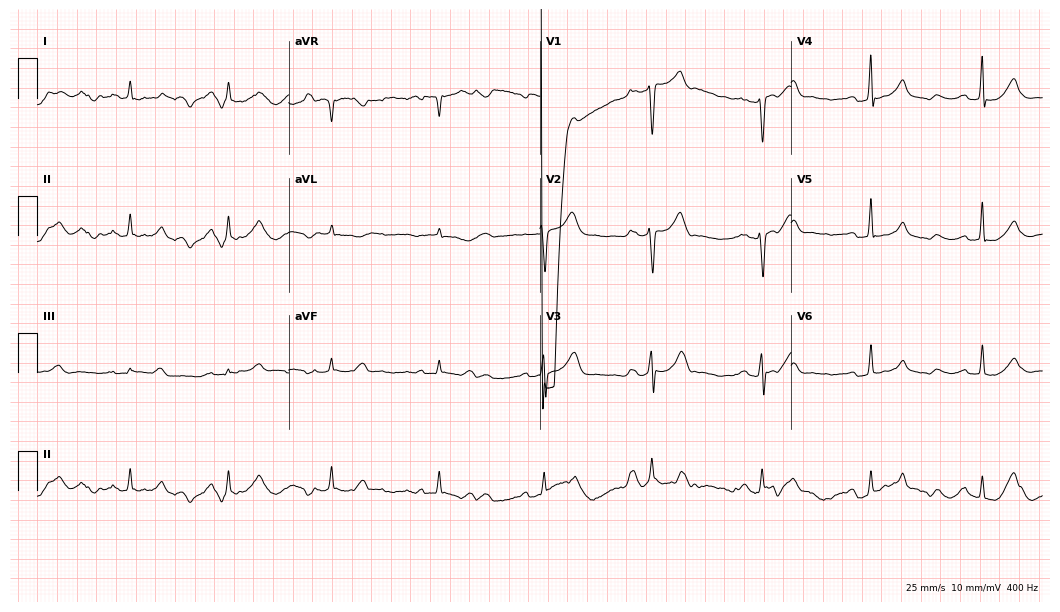
12-lead ECG from a woman, 59 years old (10.2-second recording at 400 Hz). No first-degree AV block, right bundle branch block, left bundle branch block, sinus bradycardia, atrial fibrillation or sinus tachycardia recorded for this tracing. Only these six findings were labelled.